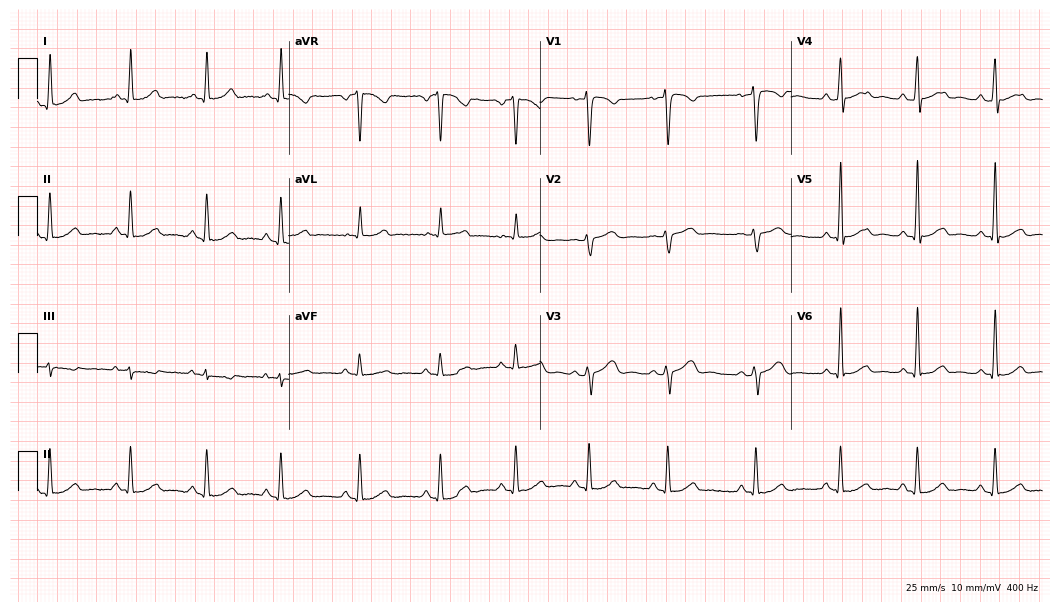
Standard 12-lead ECG recorded from a female, 42 years old (10.2-second recording at 400 Hz). Read as a normal ECG.